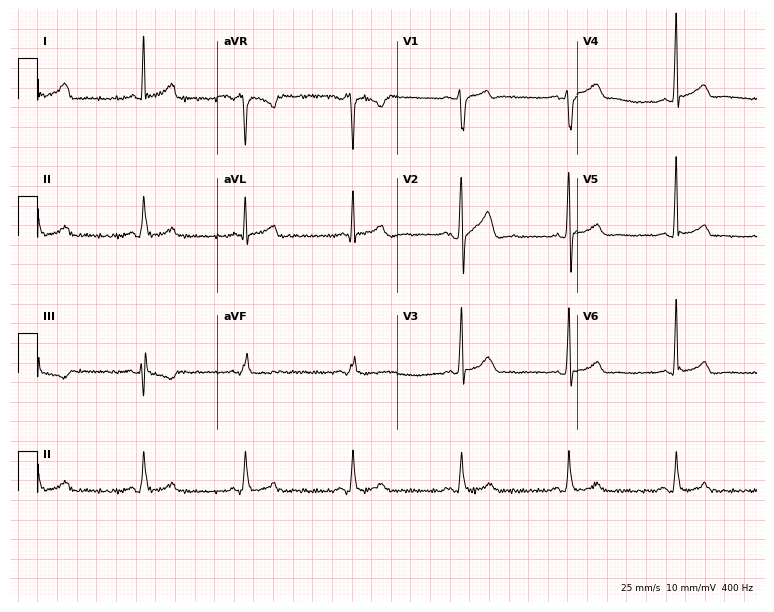
12-lead ECG (7.3-second recording at 400 Hz) from a male patient, 43 years old. Labelled as a normal ECG.